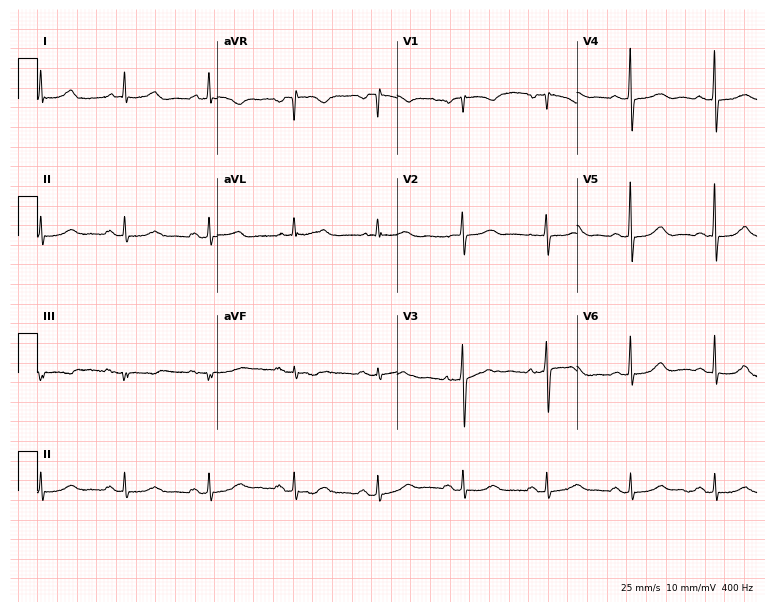
12-lead ECG (7.3-second recording at 400 Hz) from a 66-year-old female patient. Labelled as a normal ECG.